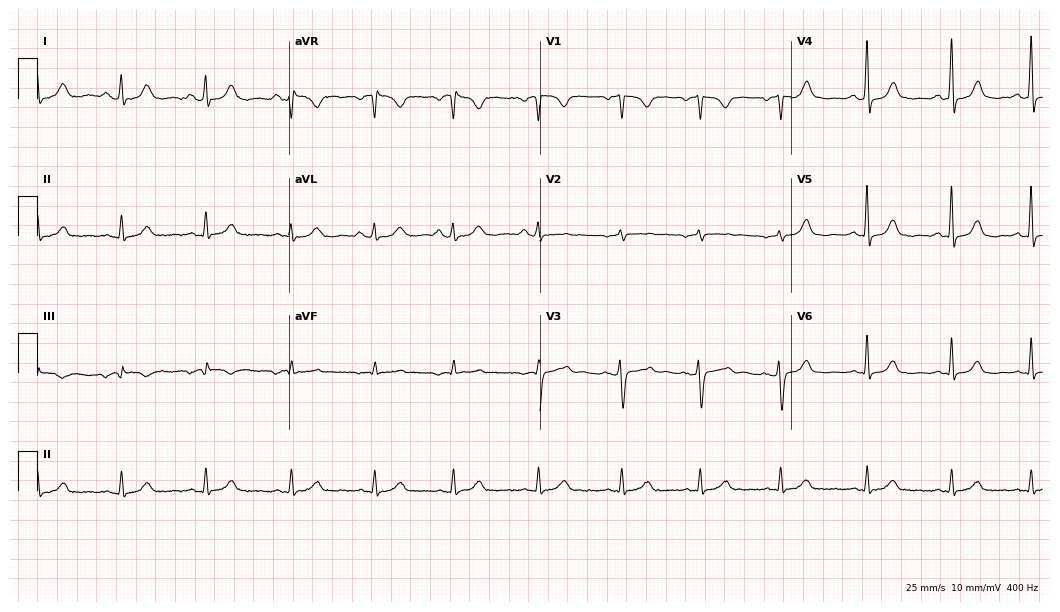
Resting 12-lead electrocardiogram. Patient: a 47-year-old woman. Read as a normal ECG.